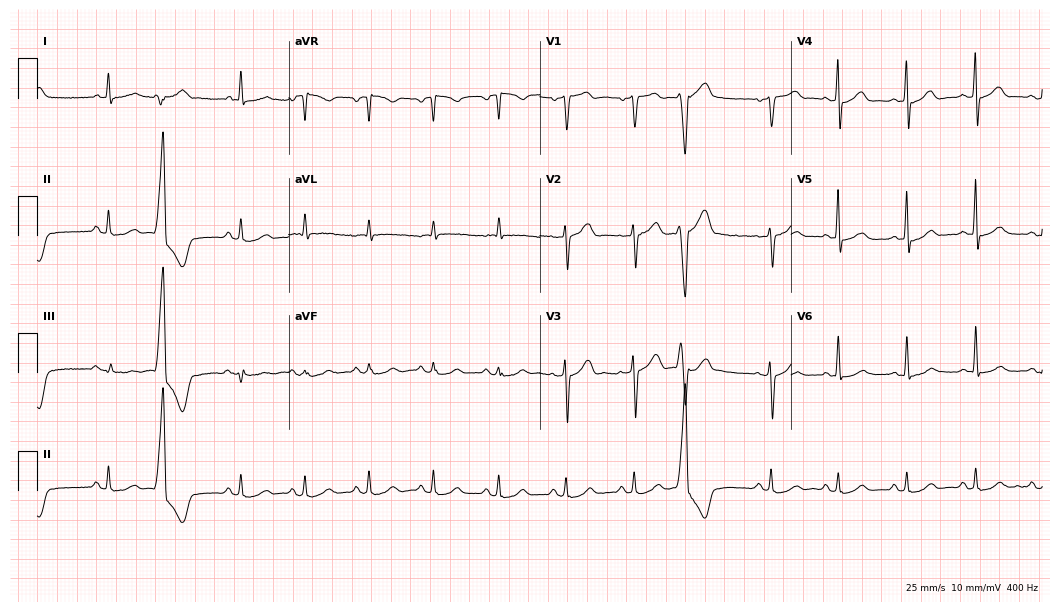
Electrocardiogram, a male patient, 70 years old. Of the six screened findings (first-degree AV block, right bundle branch block, left bundle branch block, sinus bradycardia, atrial fibrillation, sinus tachycardia), none is recorded.